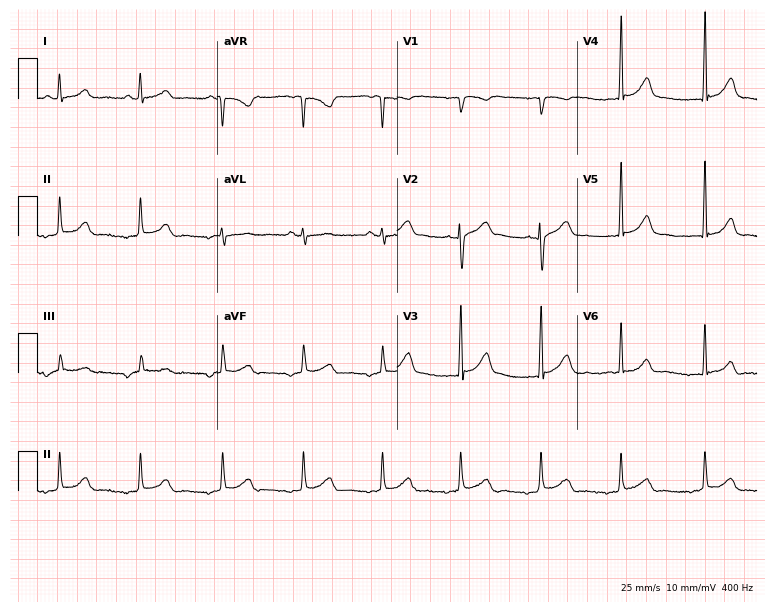
12-lead ECG from a female, 27 years old. Labelled as a normal ECG.